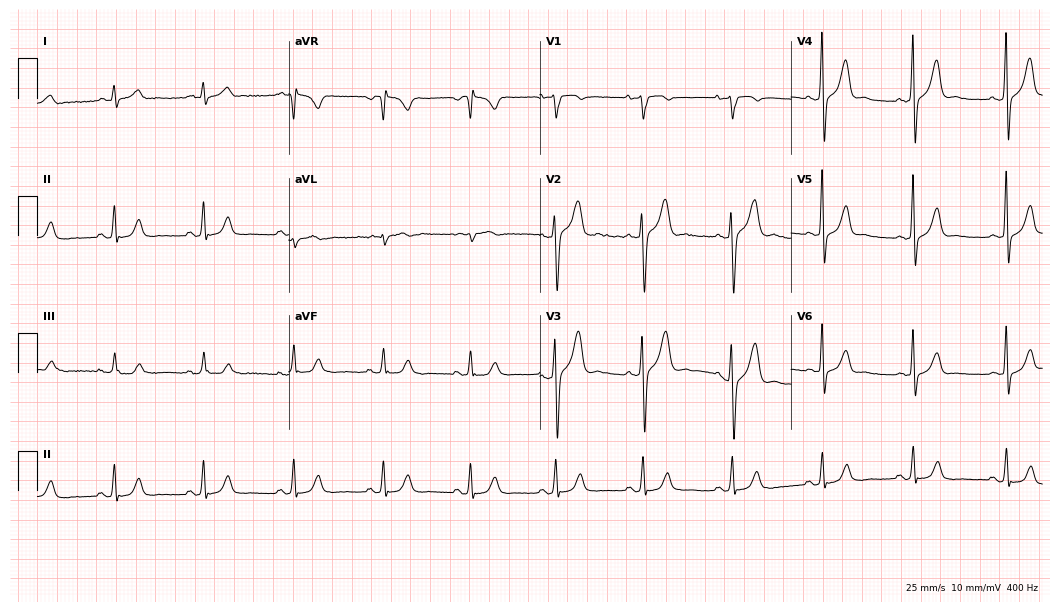
ECG — a male, 48 years old. Screened for six findings — first-degree AV block, right bundle branch block, left bundle branch block, sinus bradycardia, atrial fibrillation, sinus tachycardia — none is recorded. Other findings, if any, are not listed.